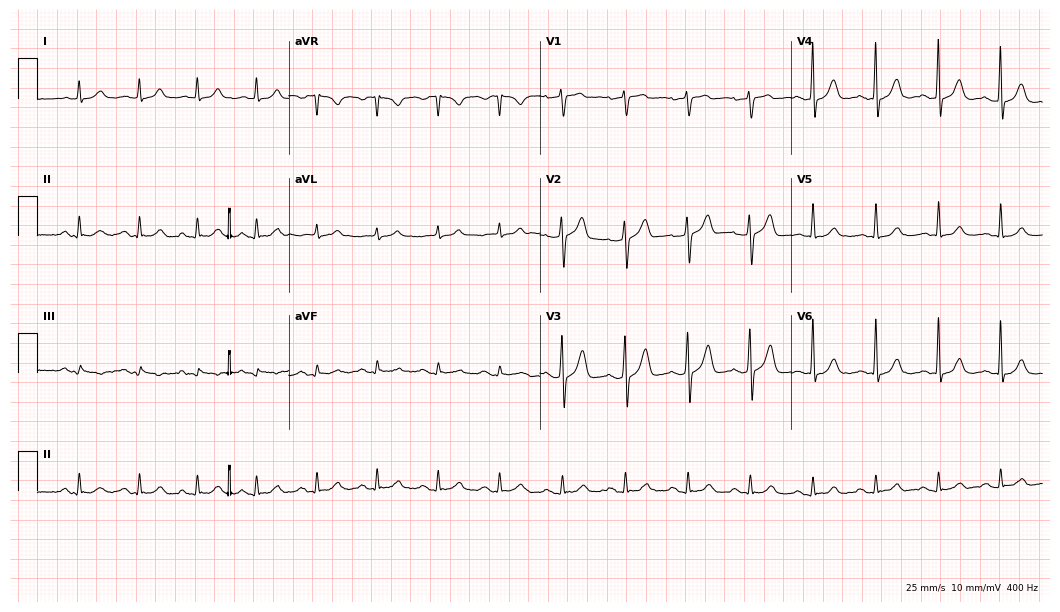
12-lead ECG (10.2-second recording at 400 Hz) from a 74-year-old male. Labelled as a normal ECG.